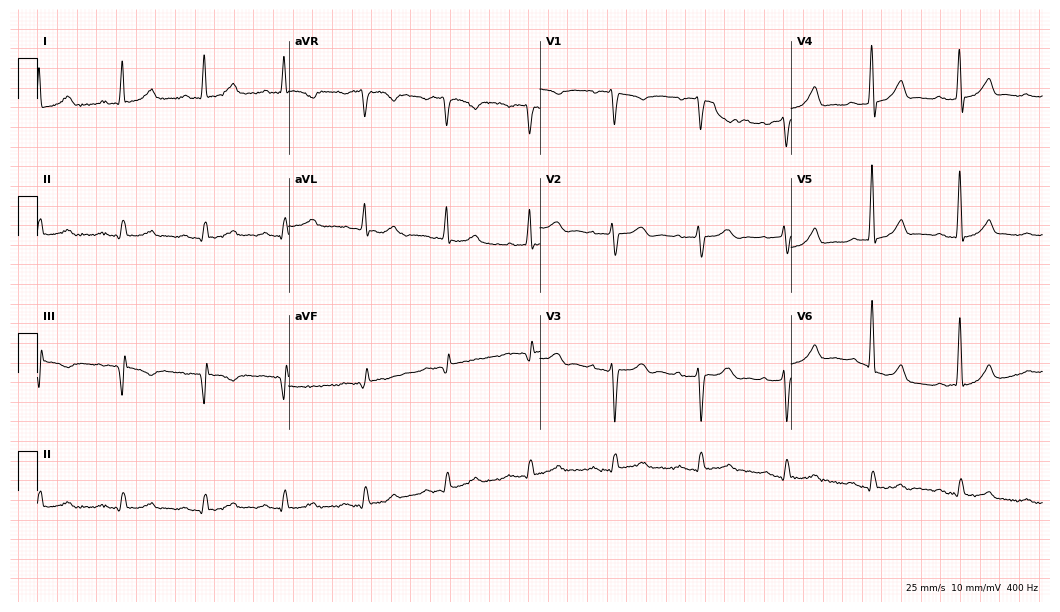
Resting 12-lead electrocardiogram (10.2-second recording at 400 Hz). Patient: a 61-year-old male. None of these six findings is recorded: first-degree AV block, right bundle branch block, left bundle branch block, sinus bradycardia, atrial fibrillation, sinus tachycardia.